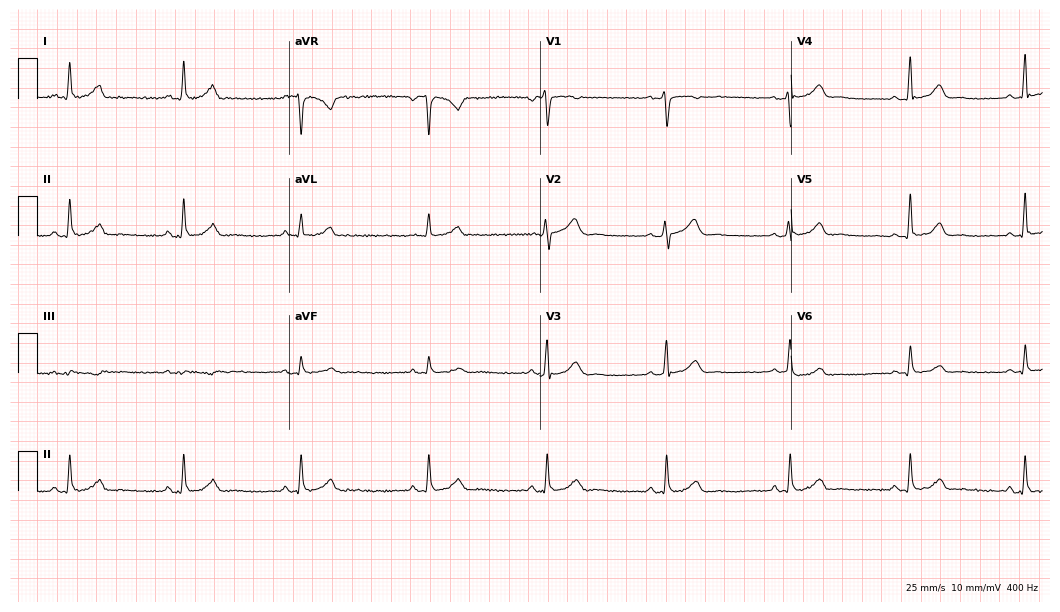
Standard 12-lead ECG recorded from a woman, 41 years old (10.2-second recording at 400 Hz). The tracing shows sinus bradycardia (a sinus rate of 50 beats per minute or less).